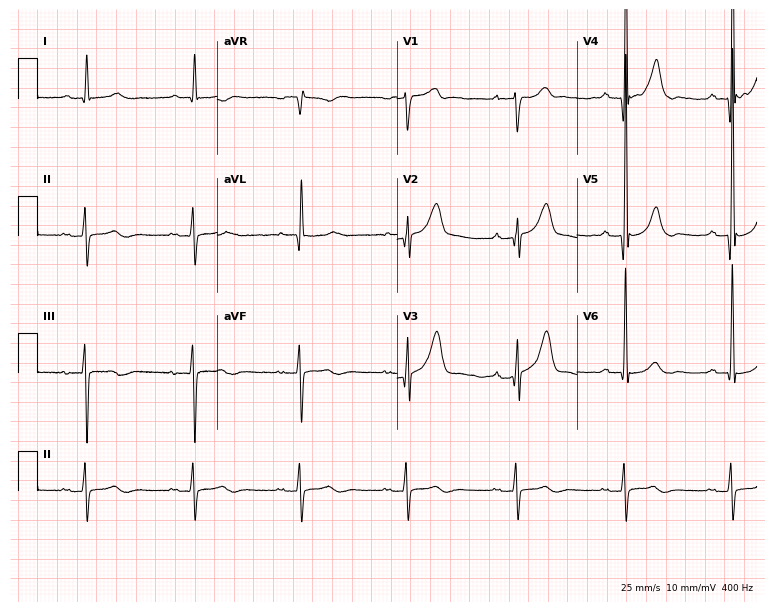
12-lead ECG from an 85-year-old male patient (7.3-second recording at 400 Hz). No first-degree AV block, right bundle branch block (RBBB), left bundle branch block (LBBB), sinus bradycardia, atrial fibrillation (AF) or sinus tachycardia recorded for this tracing.